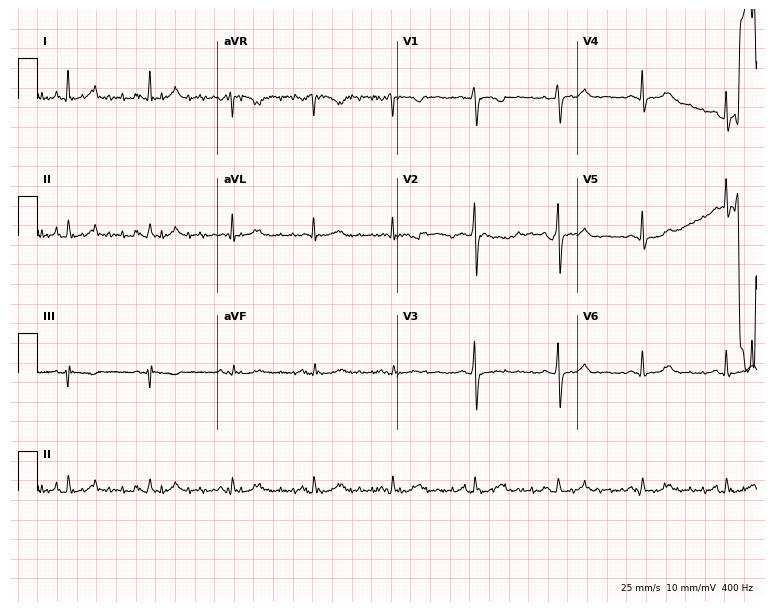
12-lead ECG from a female, 55 years old. Recorded interpretation: within normal limits.